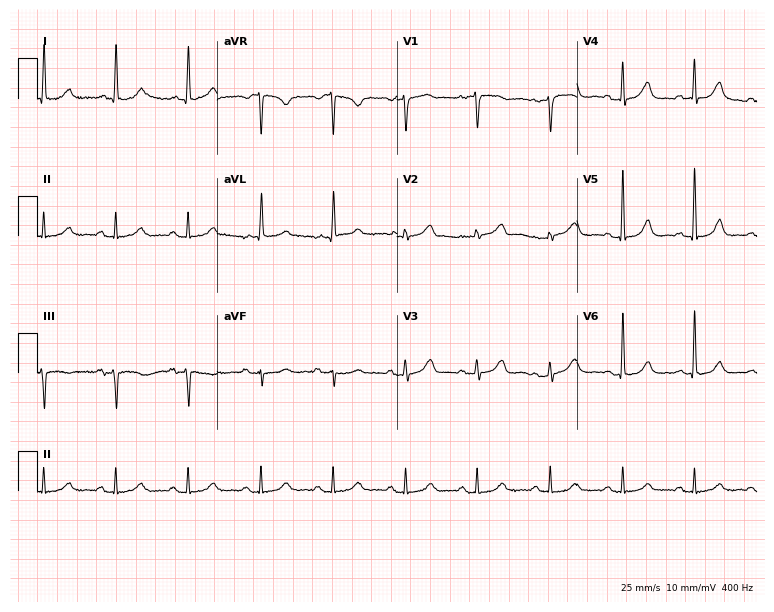
Standard 12-lead ECG recorded from a female patient, 78 years old. Read as a normal ECG.